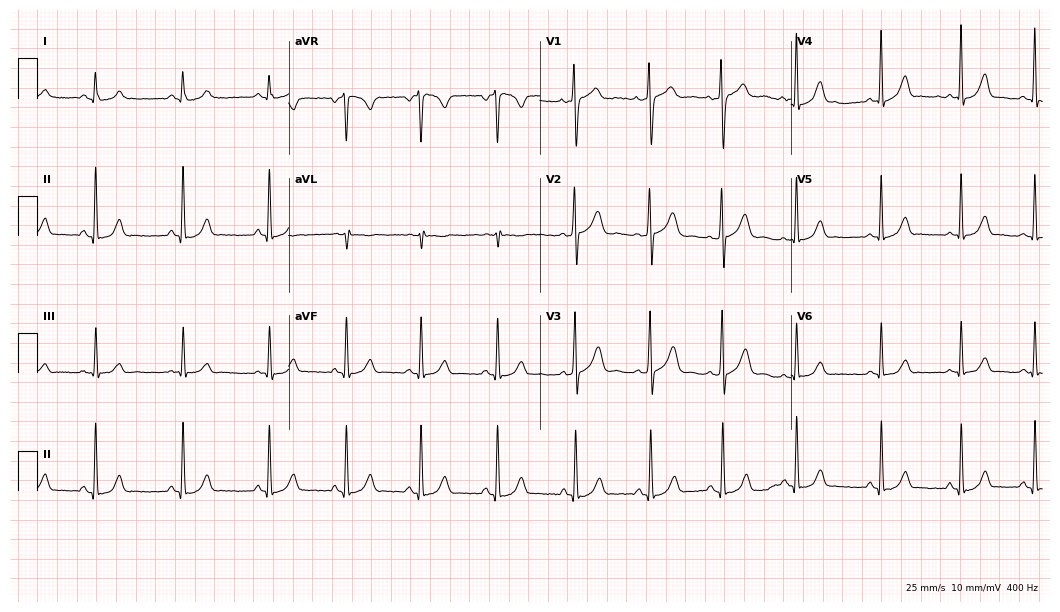
Standard 12-lead ECG recorded from a female patient, 25 years old. None of these six findings is recorded: first-degree AV block, right bundle branch block (RBBB), left bundle branch block (LBBB), sinus bradycardia, atrial fibrillation (AF), sinus tachycardia.